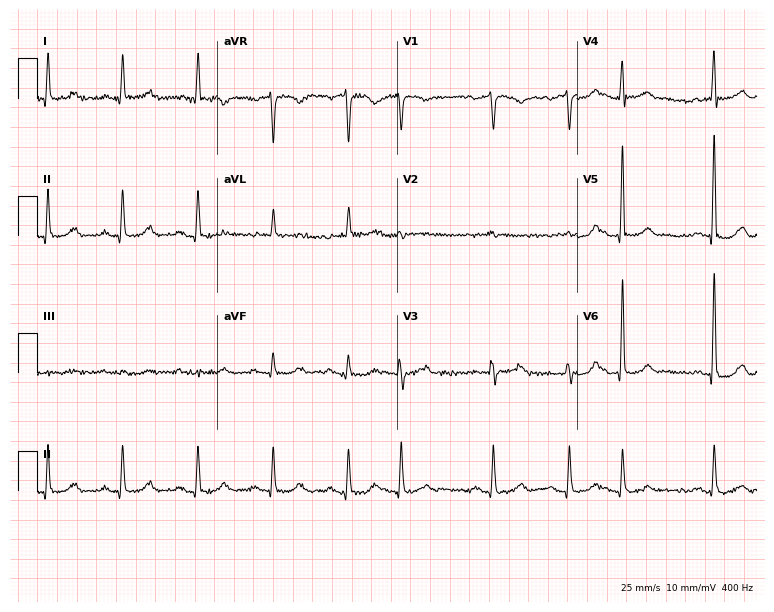
12-lead ECG from a male, 77 years old. Screened for six findings — first-degree AV block, right bundle branch block, left bundle branch block, sinus bradycardia, atrial fibrillation, sinus tachycardia — none is recorded.